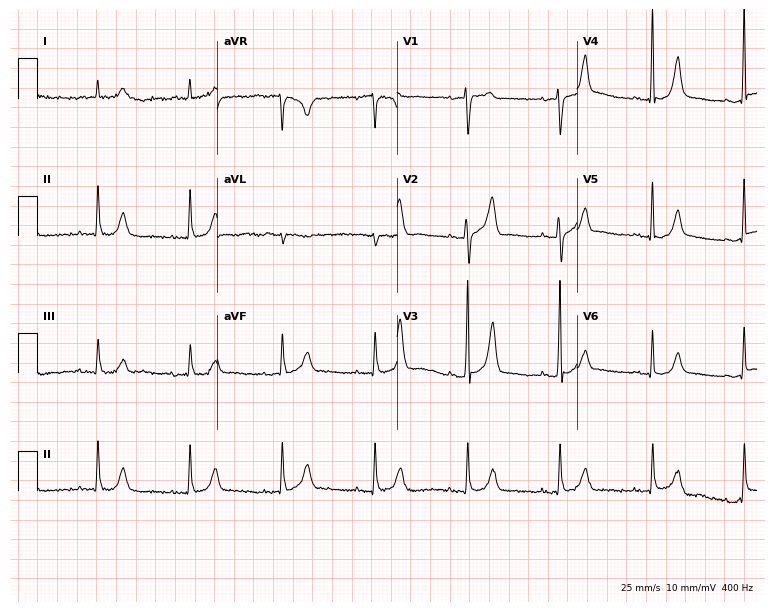
12-lead ECG from an 85-year-old male (7.3-second recording at 400 Hz). Recorded interpretation: within normal limits.